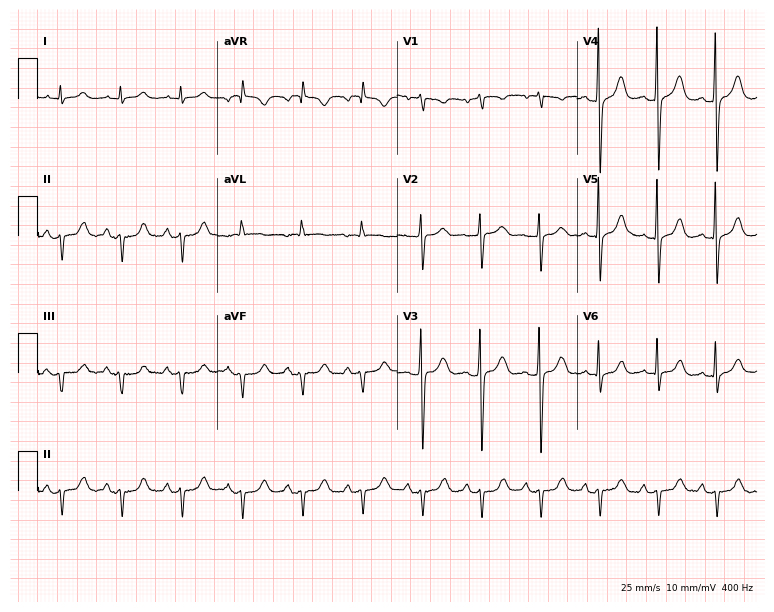
Electrocardiogram (7.3-second recording at 400 Hz), a 51-year-old man. Of the six screened findings (first-degree AV block, right bundle branch block, left bundle branch block, sinus bradycardia, atrial fibrillation, sinus tachycardia), none is recorded.